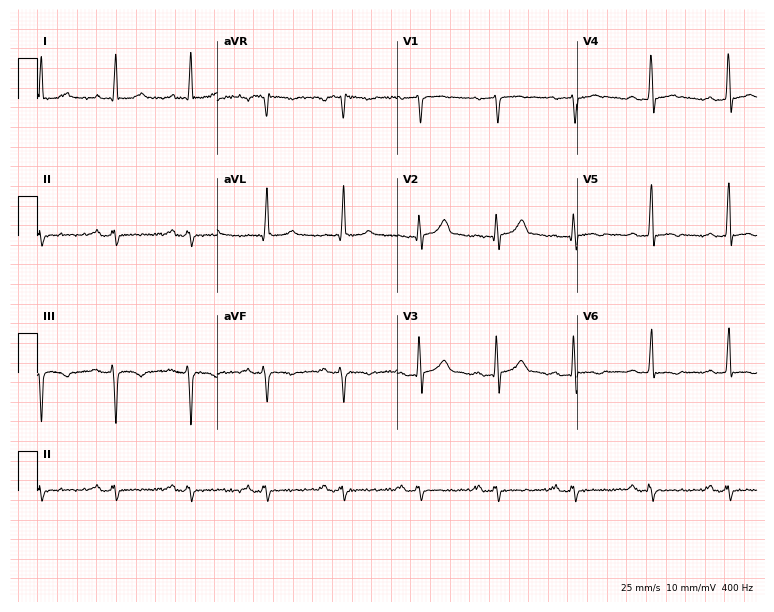
Electrocardiogram, a 53-year-old male. Of the six screened findings (first-degree AV block, right bundle branch block (RBBB), left bundle branch block (LBBB), sinus bradycardia, atrial fibrillation (AF), sinus tachycardia), none is recorded.